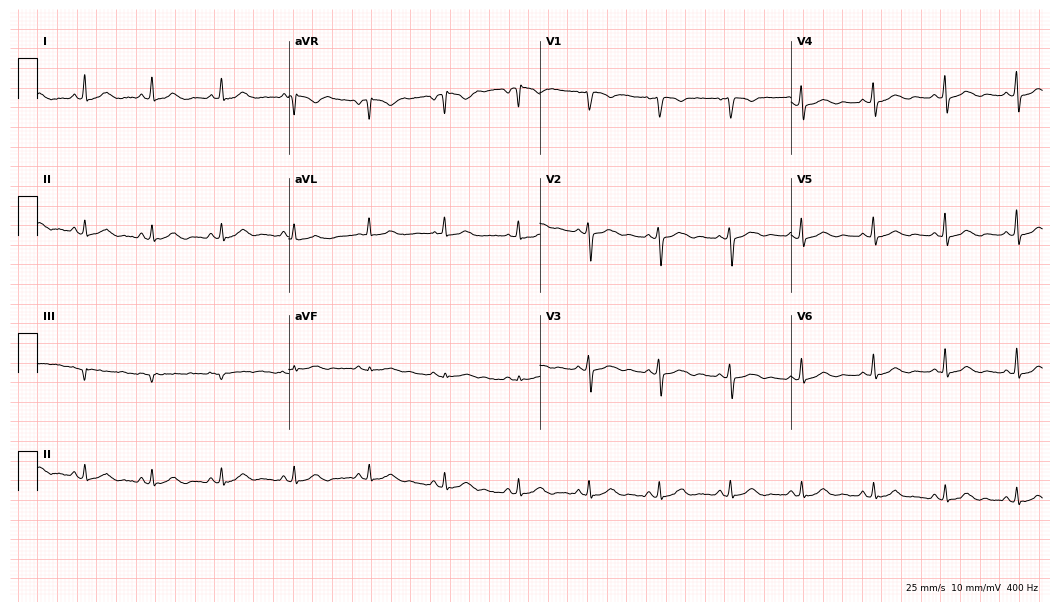
Electrocardiogram, a 47-year-old female patient. Of the six screened findings (first-degree AV block, right bundle branch block, left bundle branch block, sinus bradycardia, atrial fibrillation, sinus tachycardia), none is recorded.